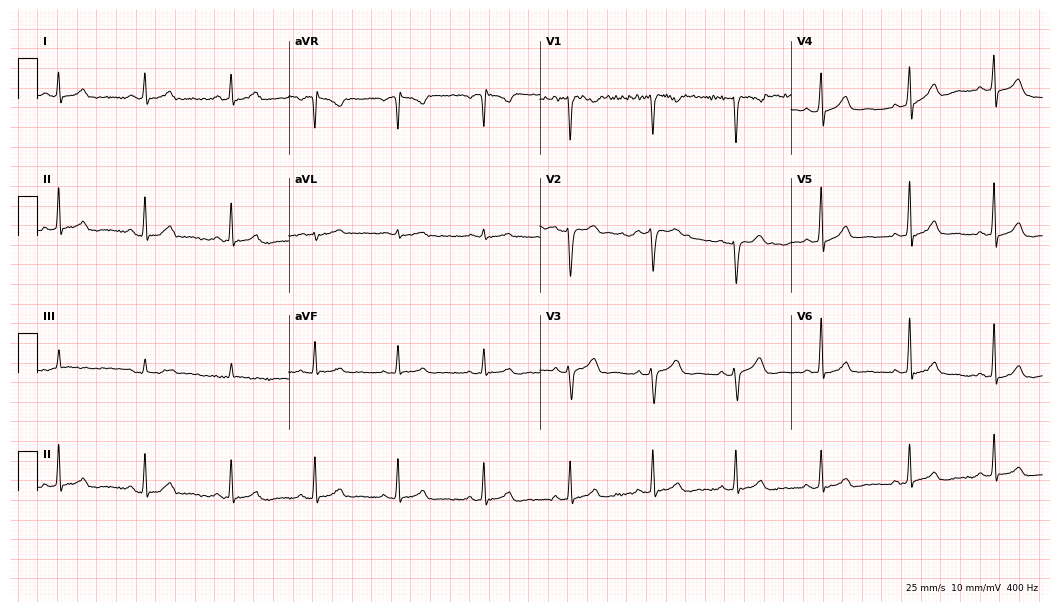
Standard 12-lead ECG recorded from a male patient, 43 years old. Read as a normal ECG.